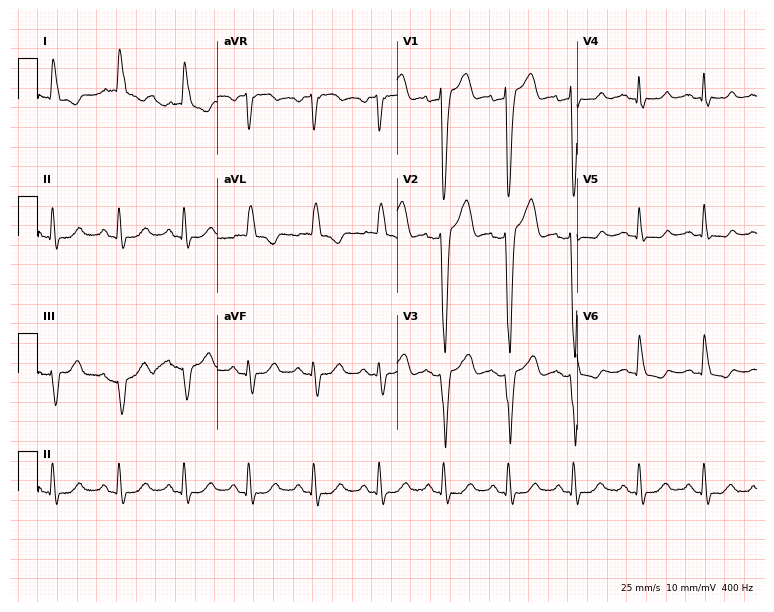
12-lead ECG from a woman, 83 years old. Shows left bundle branch block.